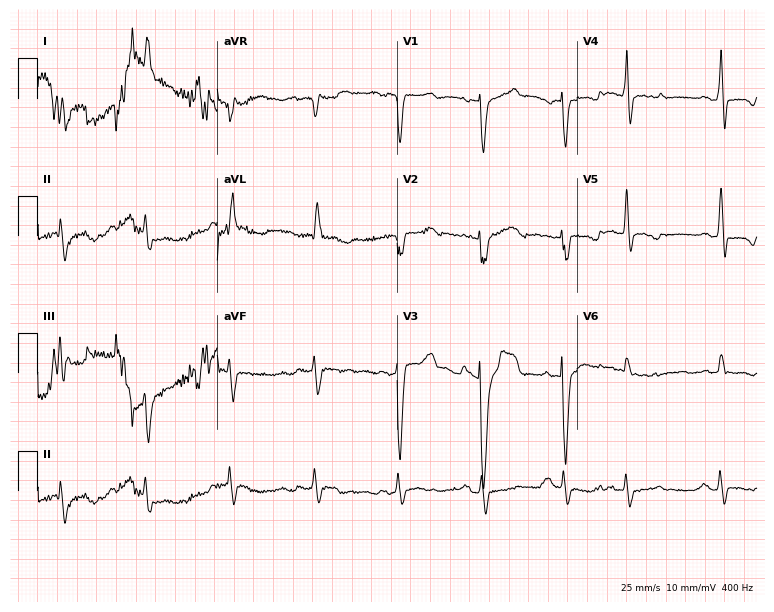
Standard 12-lead ECG recorded from a female, 79 years old (7.3-second recording at 400 Hz). None of these six findings is recorded: first-degree AV block, right bundle branch block, left bundle branch block, sinus bradycardia, atrial fibrillation, sinus tachycardia. Findings outside these six are not listed.